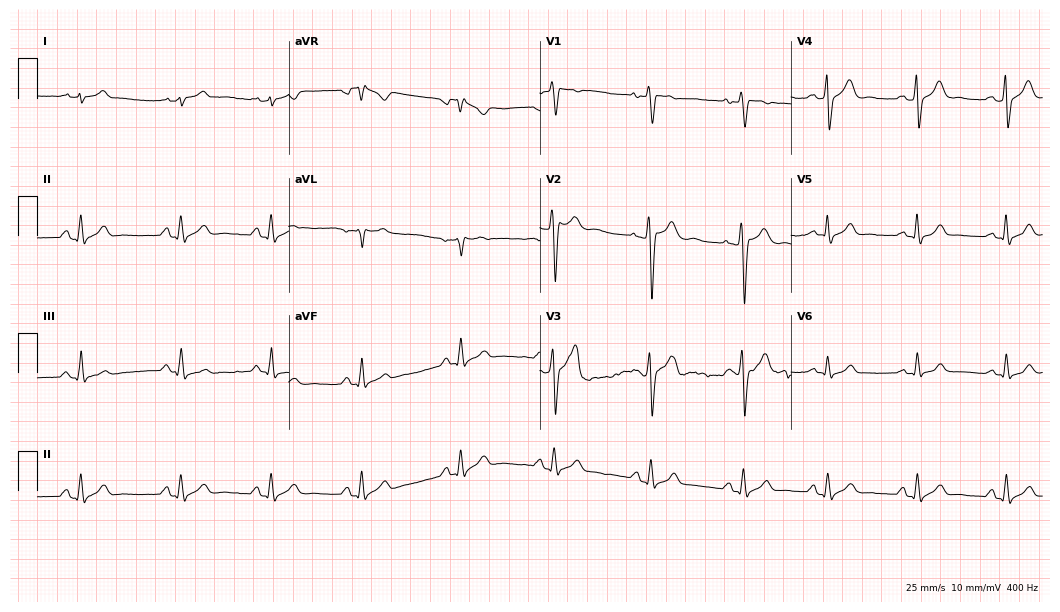
12-lead ECG (10.2-second recording at 400 Hz) from a 34-year-old male patient. Screened for six findings — first-degree AV block, right bundle branch block, left bundle branch block, sinus bradycardia, atrial fibrillation, sinus tachycardia — none is recorded. Only these six findings were labelled.